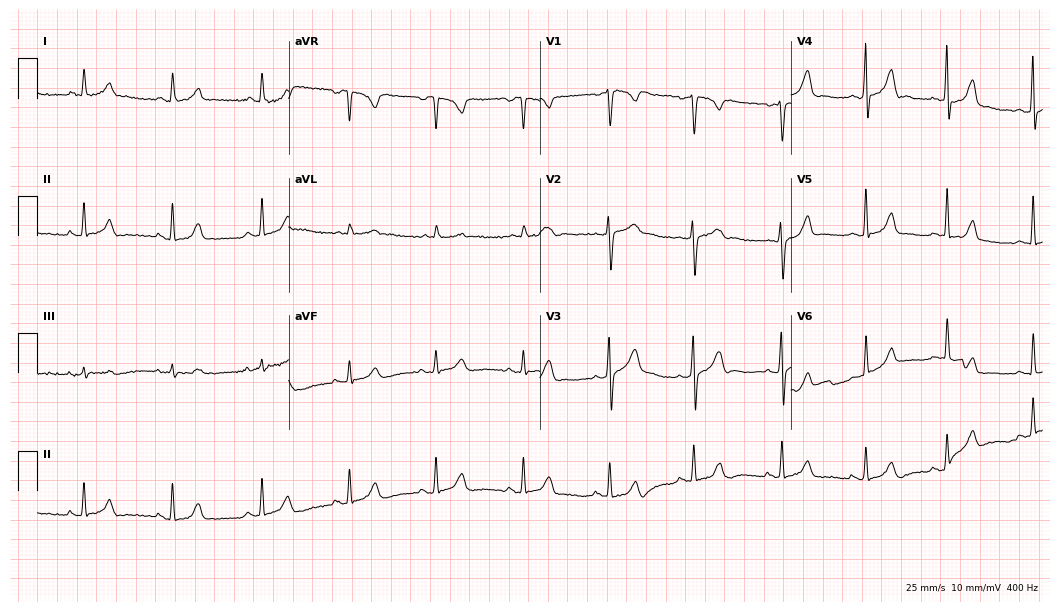
12-lead ECG from a 30-year-old female. No first-degree AV block, right bundle branch block, left bundle branch block, sinus bradycardia, atrial fibrillation or sinus tachycardia recorded for this tracing.